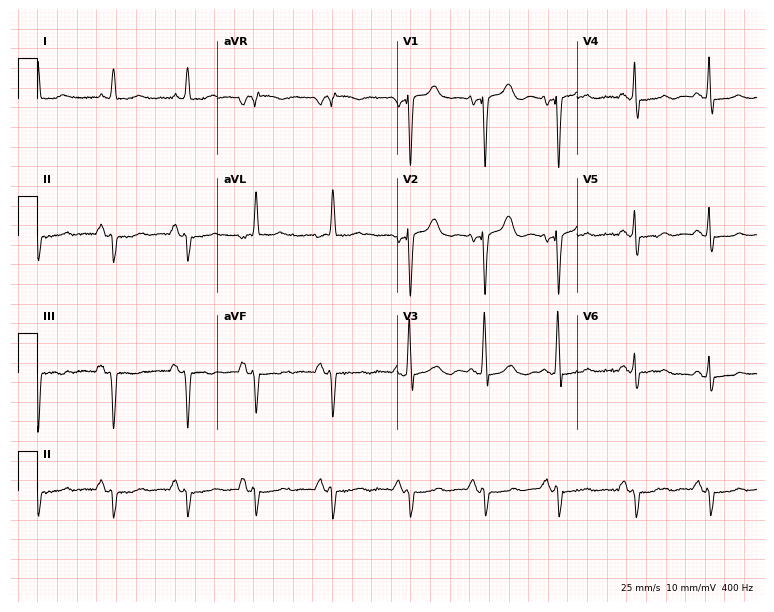
12-lead ECG (7.3-second recording at 400 Hz) from a woman, 66 years old. Screened for six findings — first-degree AV block, right bundle branch block, left bundle branch block, sinus bradycardia, atrial fibrillation, sinus tachycardia — none is recorded.